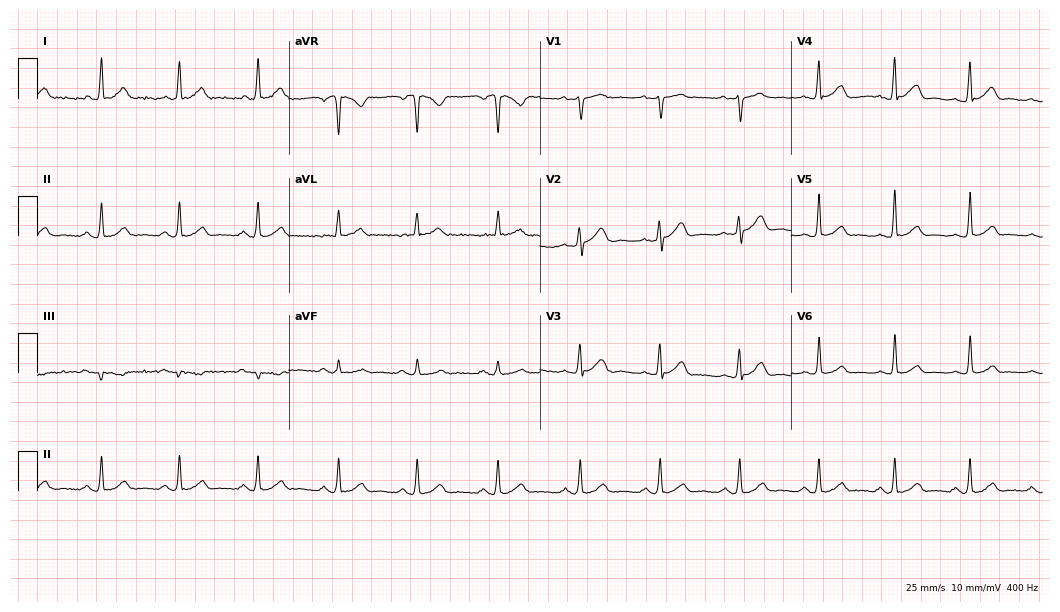
ECG — a 35-year-old male. Screened for six findings — first-degree AV block, right bundle branch block, left bundle branch block, sinus bradycardia, atrial fibrillation, sinus tachycardia — none is recorded. Findings outside these six are not listed.